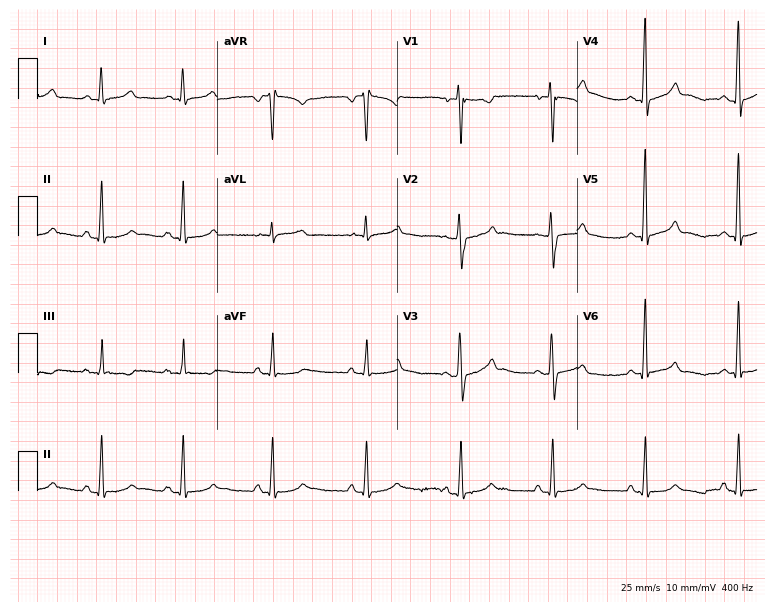
12-lead ECG (7.3-second recording at 400 Hz) from a male, 30 years old. Screened for six findings — first-degree AV block, right bundle branch block, left bundle branch block, sinus bradycardia, atrial fibrillation, sinus tachycardia — none is recorded. Other findings, if any, are not listed.